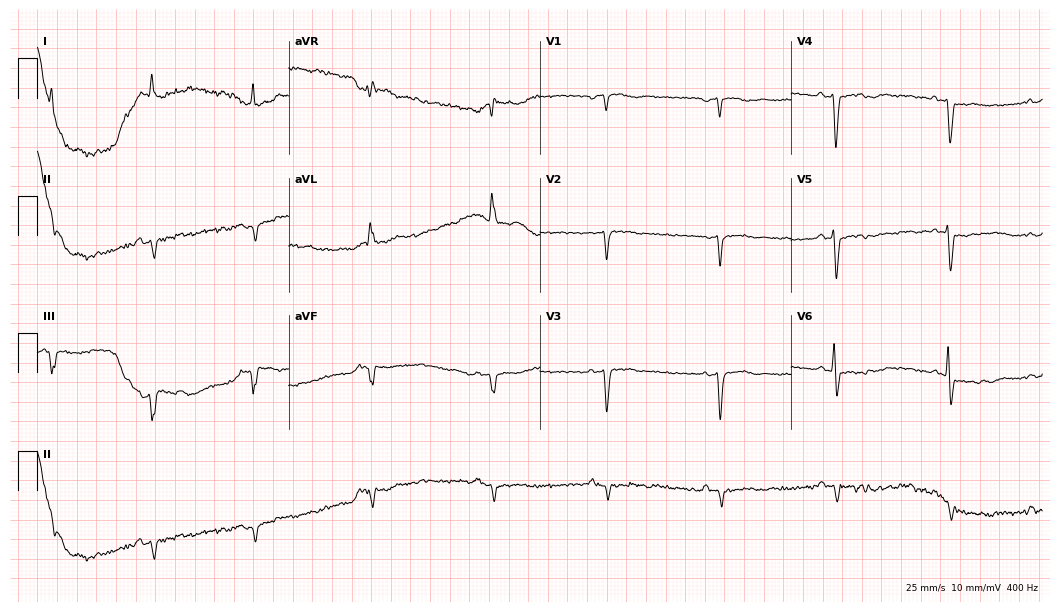
Electrocardiogram, a male, 68 years old. Of the six screened findings (first-degree AV block, right bundle branch block (RBBB), left bundle branch block (LBBB), sinus bradycardia, atrial fibrillation (AF), sinus tachycardia), none is recorded. Other findings, if any, are not listed.